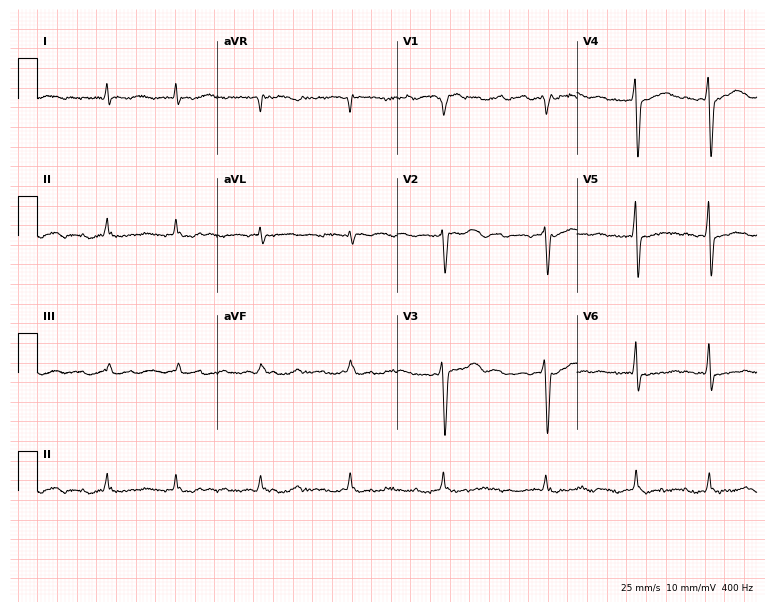
Resting 12-lead electrocardiogram. Patient: an 80-year-old man. None of these six findings is recorded: first-degree AV block, right bundle branch block (RBBB), left bundle branch block (LBBB), sinus bradycardia, atrial fibrillation (AF), sinus tachycardia.